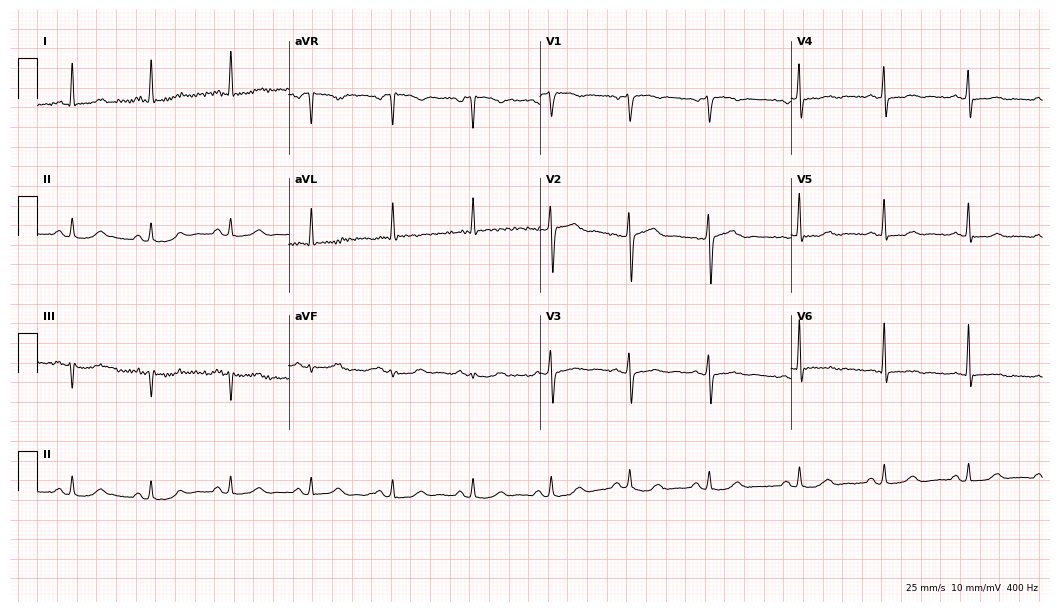
ECG (10.2-second recording at 400 Hz) — a 53-year-old woman. Screened for six findings — first-degree AV block, right bundle branch block (RBBB), left bundle branch block (LBBB), sinus bradycardia, atrial fibrillation (AF), sinus tachycardia — none is recorded.